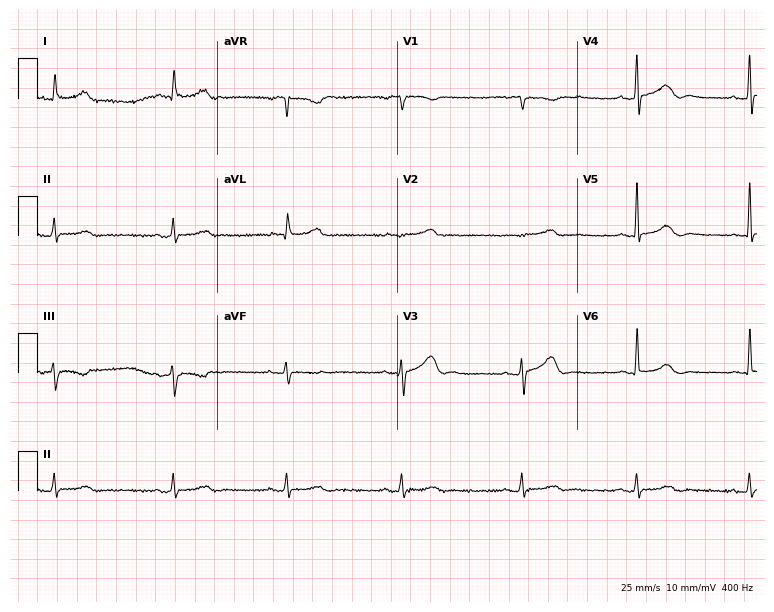
12-lead ECG from a woman, 85 years old. Labelled as a normal ECG.